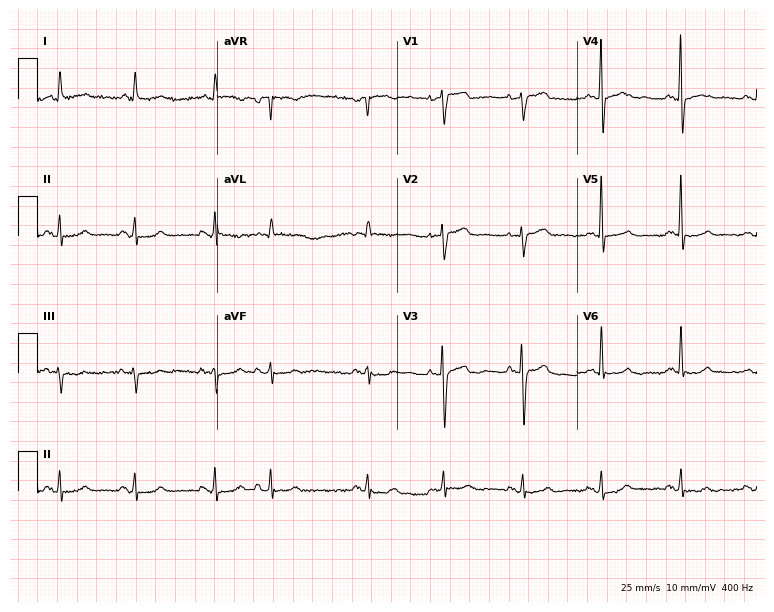
Electrocardiogram (7.3-second recording at 400 Hz), a woman, 80 years old. Of the six screened findings (first-degree AV block, right bundle branch block (RBBB), left bundle branch block (LBBB), sinus bradycardia, atrial fibrillation (AF), sinus tachycardia), none is recorded. Only these six findings were labelled.